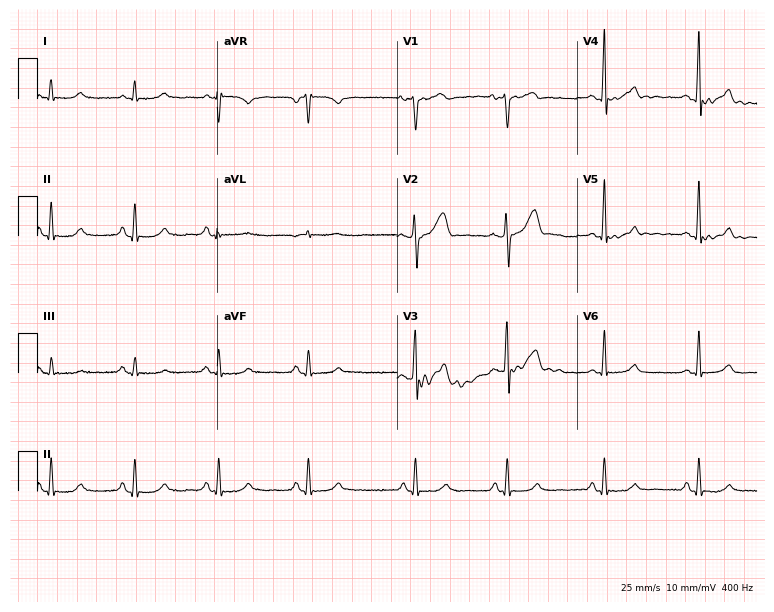
Resting 12-lead electrocardiogram. Patient: a 50-year-old man. Read as a normal ECG.